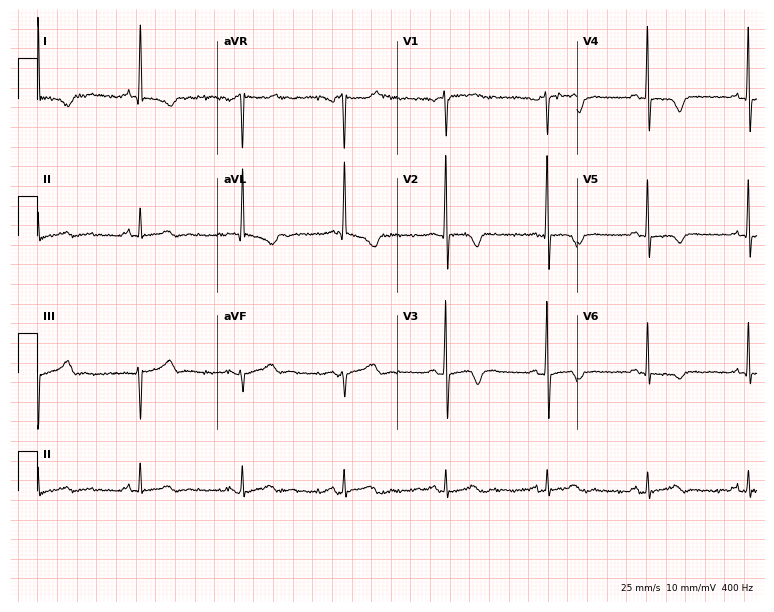
Standard 12-lead ECG recorded from a 76-year-old female patient (7.3-second recording at 400 Hz). None of these six findings is recorded: first-degree AV block, right bundle branch block (RBBB), left bundle branch block (LBBB), sinus bradycardia, atrial fibrillation (AF), sinus tachycardia.